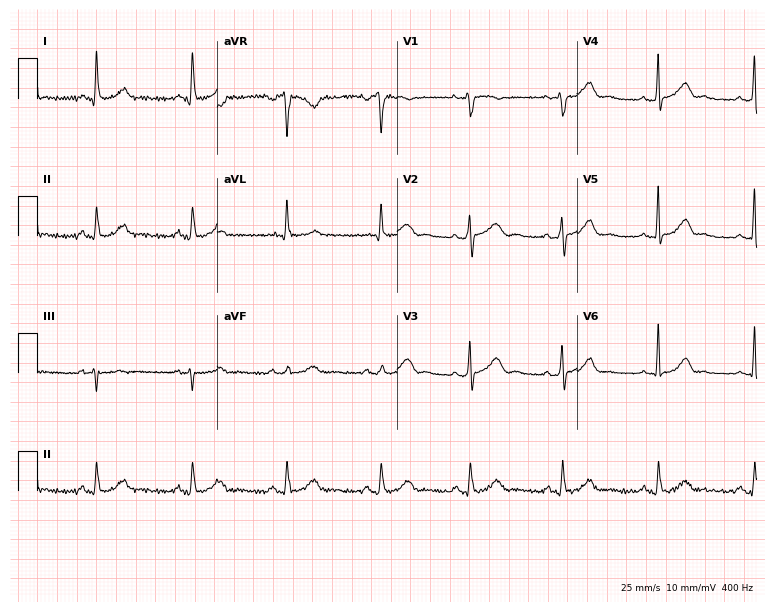
Standard 12-lead ECG recorded from a 45-year-old woman (7.3-second recording at 400 Hz). Read as a normal ECG.